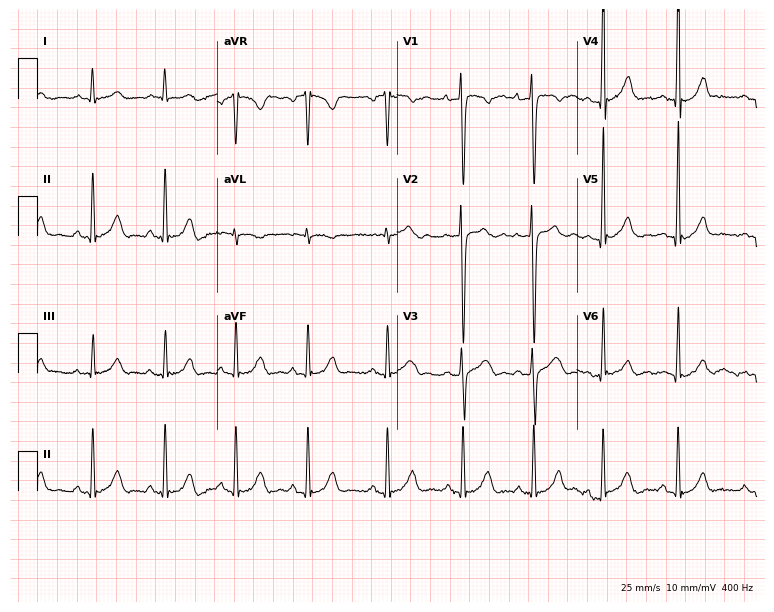
ECG (7.3-second recording at 400 Hz) — a male patient, 18 years old. Labelled as a normal ECG.